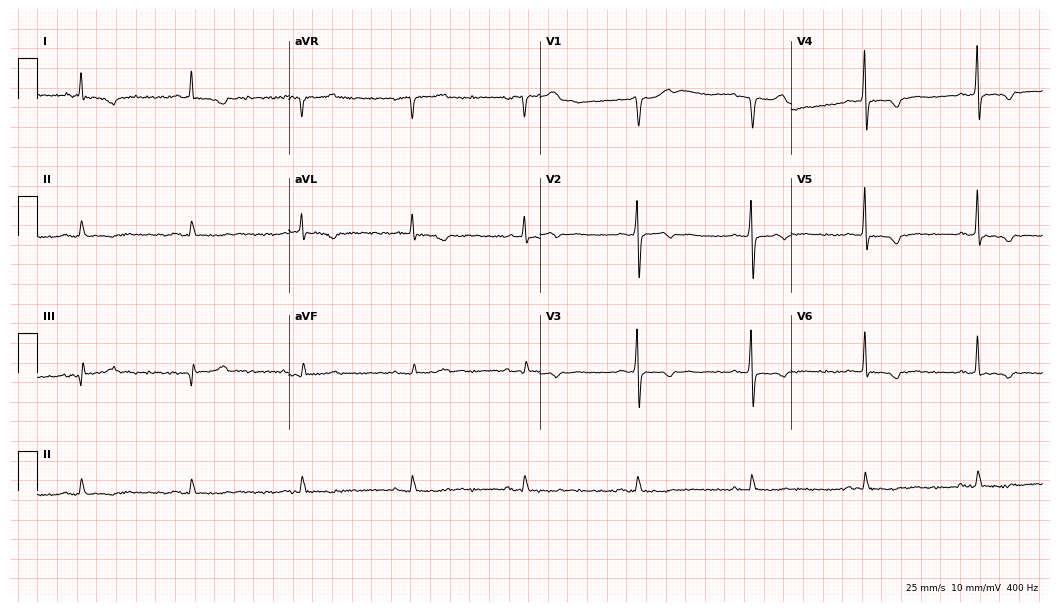
12-lead ECG from a 69-year-old man. No first-degree AV block, right bundle branch block, left bundle branch block, sinus bradycardia, atrial fibrillation or sinus tachycardia recorded for this tracing.